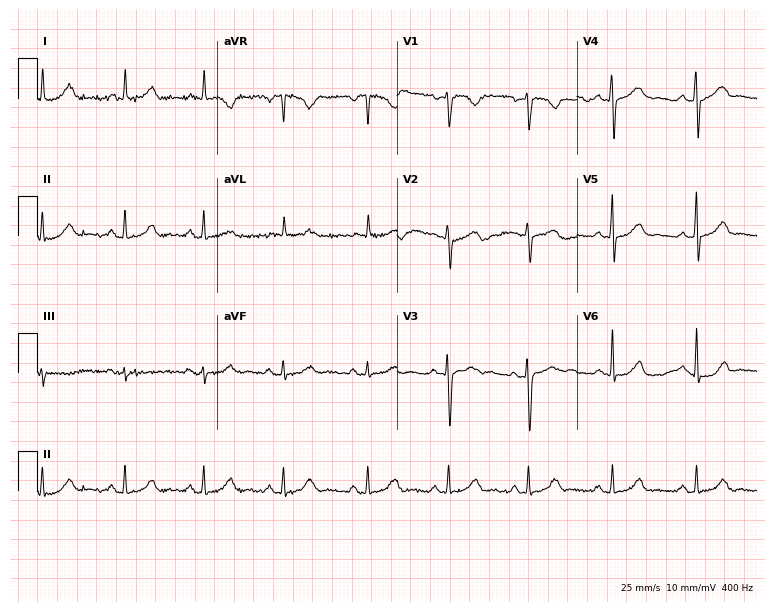
12-lead ECG (7.3-second recording at 400 Hz) from a woman, 34 years old. Labelled as a normal ECG.